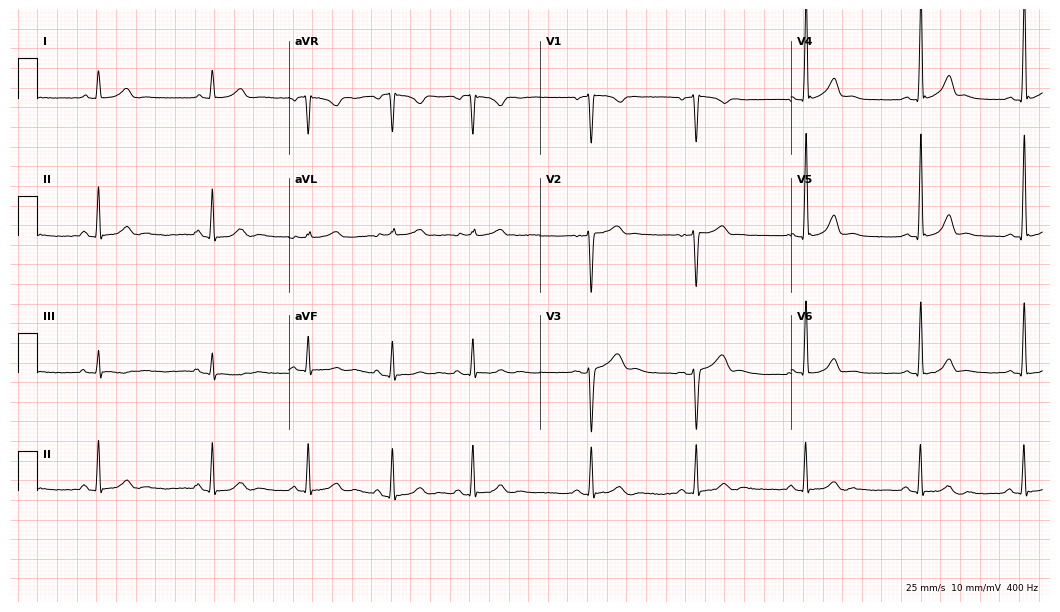
12-lead ECG from a woman, 28 years old. Labelled as a normal ECG.